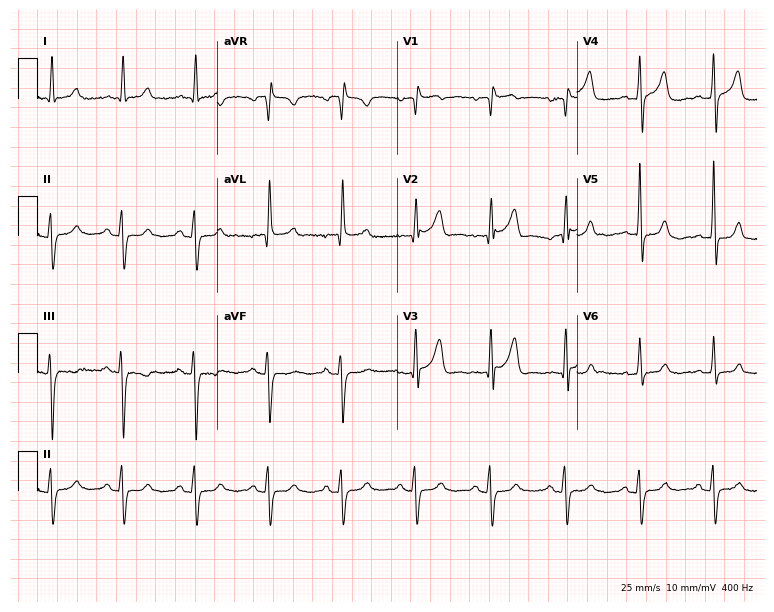
12-lead ECG from an 81-year-old male. Screened for six findings — first-degree AV block, right bundle branch block (RBBB), left bundle branch block (LBBB), sinus bradycardia, atrial fibrillation (AF), sinus tachycardia — none is recorded. Only these six findings were labelled.